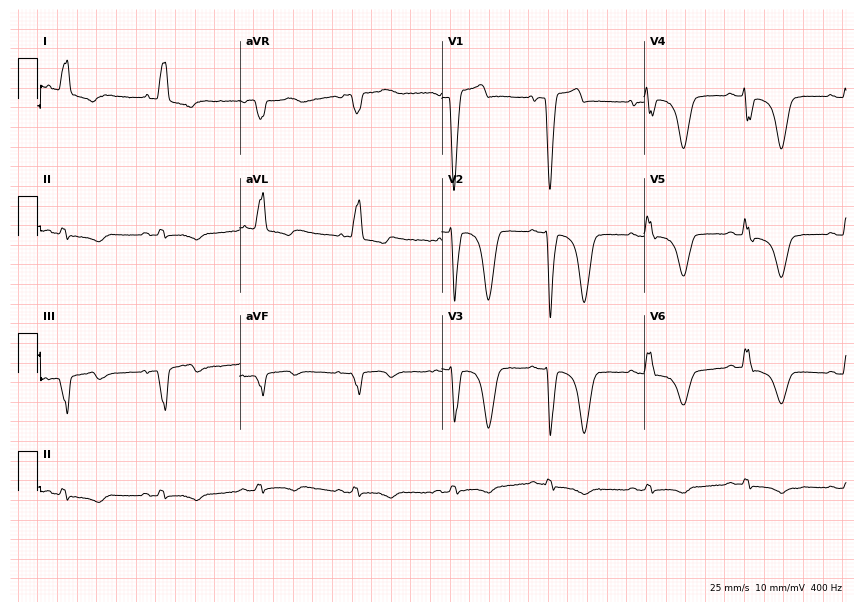
Electrocardiogram (8.2-second recording at 400 Hz), a female patient, 68 years old. Interpretation includes left bundle branch block.